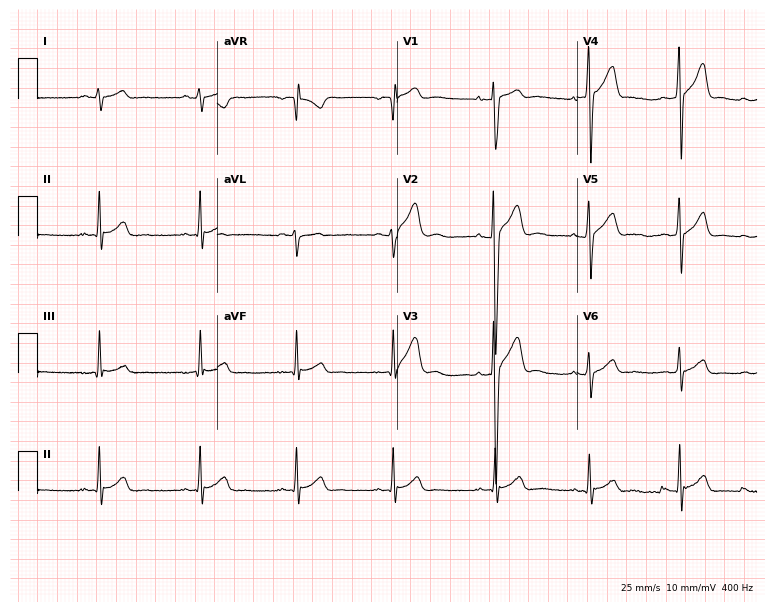
ECG — a 19-year-old male. Labelled as a normal ECG.